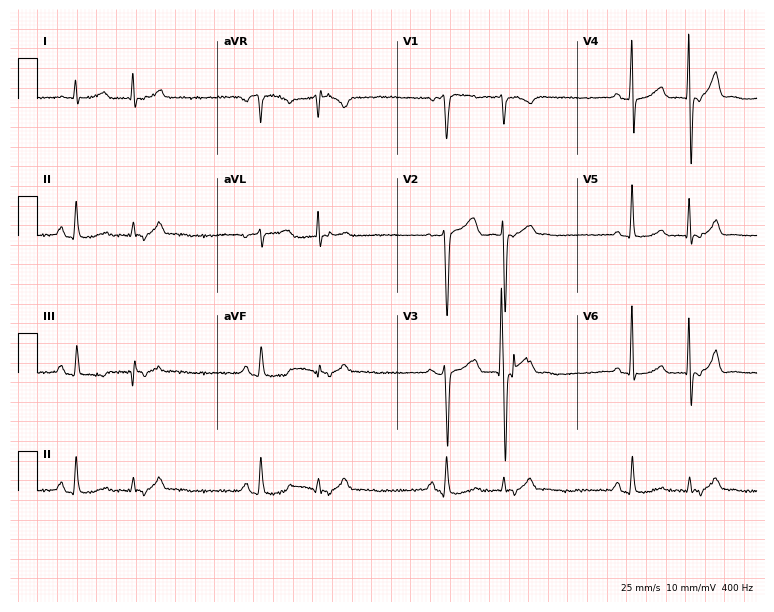
12-lead ECG from a male, 64 years old. No first-degree AV block, right bundle branch block, left bundle branch block, sinus bradycardia, atrial fibrillation or sinus tachycardia recorded for this tracing. Findings outside these six are not listed.